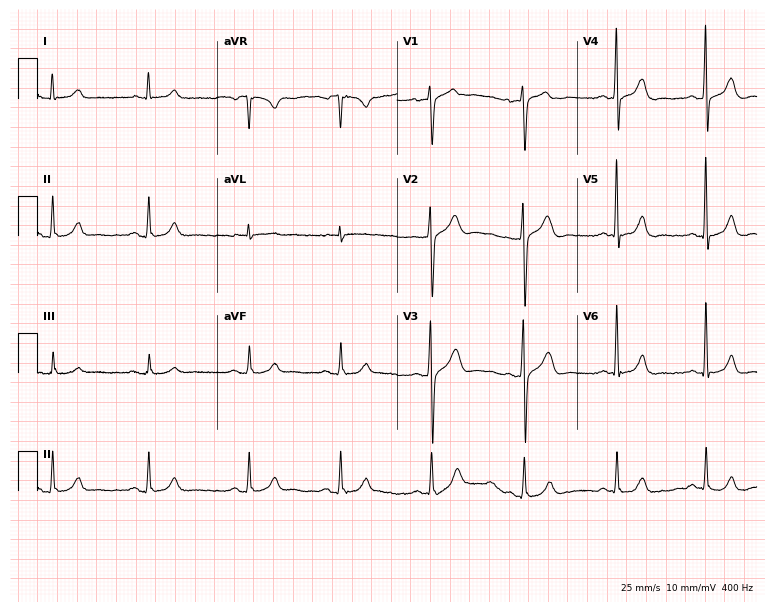
12-lead ECG from a man, 45 years old. Labelled as a normal ECG.